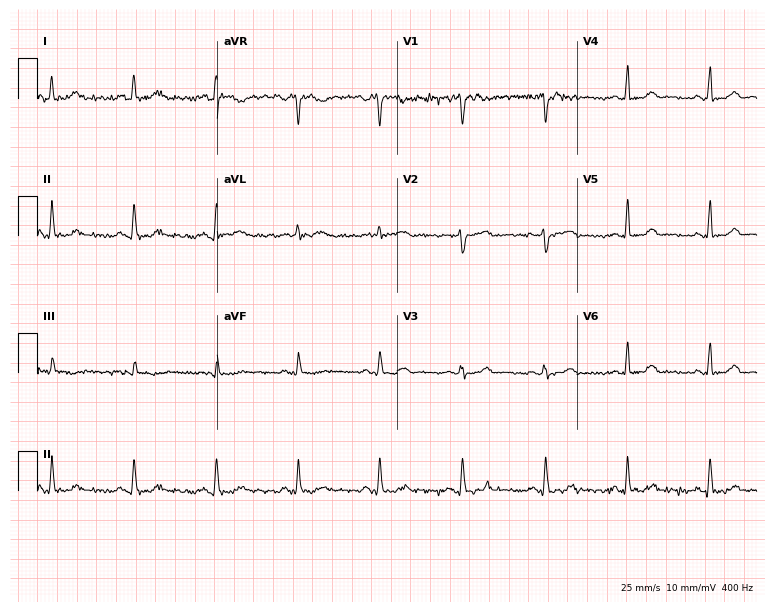
Resting 12-lead electrocardiogram. Patient: a female, 58 years old. None of these six findings is recorded: first-degree AV block, right bundle branch block (RBBB), left bundle branch block (LBBB), sinus bradycardia, atrial fibrillation (AF), sinus tachycardia.